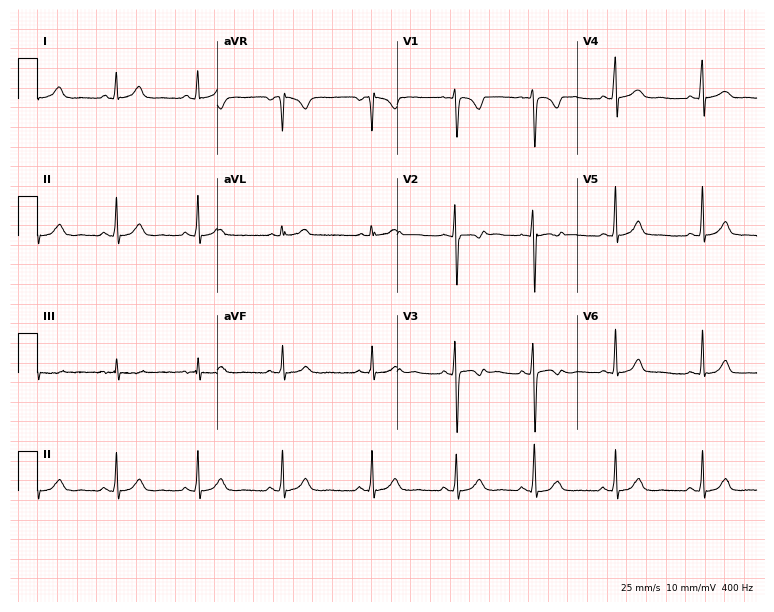
Standard 12-lead ECG recorded from a 26-year-old female patient. None of these six findings is recorded: first-degree AV block, right bundle branch block (RBBB), left bundle branch block (LBBB), sinus bradycardia, atrial fibrillation (AF), sinus tachycardia.